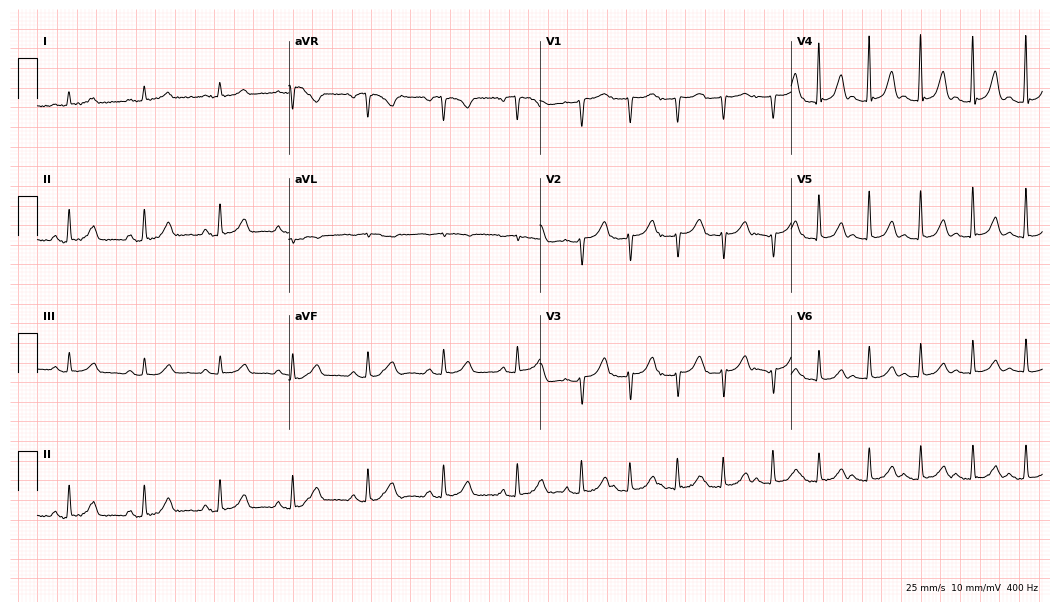
Electrocardiogram (10.2-second recording at 400 Hz), a 60-year-old female patient. Of the six screened findings (first-degree AV block, right bundle branch block (RBBB), left bundle branch block (LBBB), sinus bradycardia, atrial fibrillation (AF), sinus tachycardia), none is recorded.